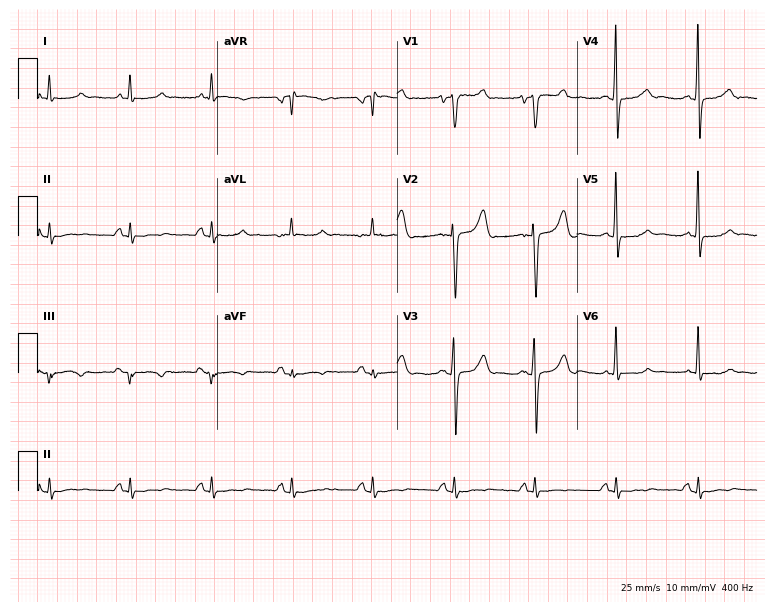
Standard 12-lead ECG recorded from a male patient, 51 years old (7.3-second recording at 400 Hz). None of these six findings is recorded: first-degree AV block, right bundle branch block, left bundle branch block, sinus bradycardia, atrial fibrillation, sinus tachycardia. Findings outside these six are not listed.